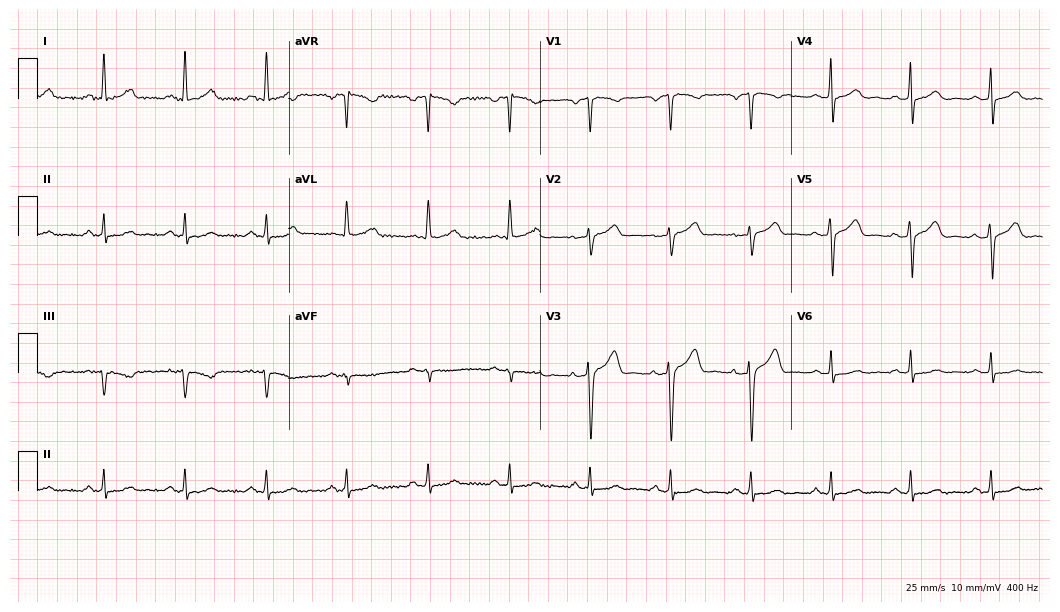
12-lead ECG from a 57-year-old male patient. Labelled as a normal ECG.